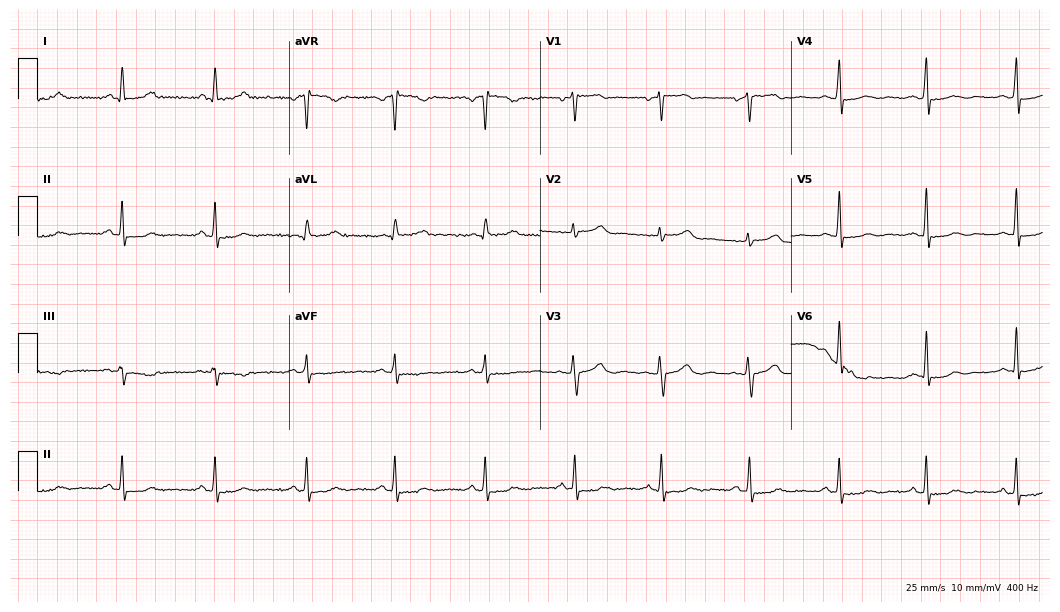
Resting 12-lead electrocardiogram (10.2-second recording at 400 Hz). Patient: a 46-year-old female. None of these six findings is recorded: first-degree AV block, right bundle branch block (RBBB), left bundle branch block (LBBB), sinus bradycardia, atrial fibrillation (AF), sinus tachycardia. Other findings, if any, are not listed.